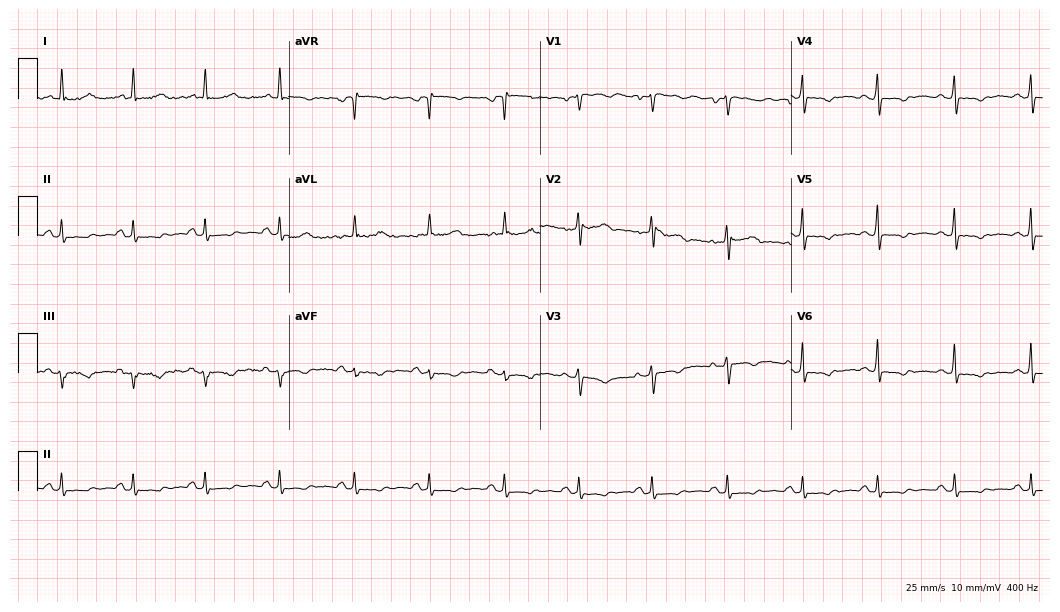
Resting 12-lead electrocardiogram (10.2-second recording at 400 Hz). Patient: a 42-year-old female. None of these six findings is recorded: first-degree AV block, right bundle branch block, left bundle branch block, sinus bradycardia, atrial fibrillation, sinus tachycardia. Findings outside these six are not listed.